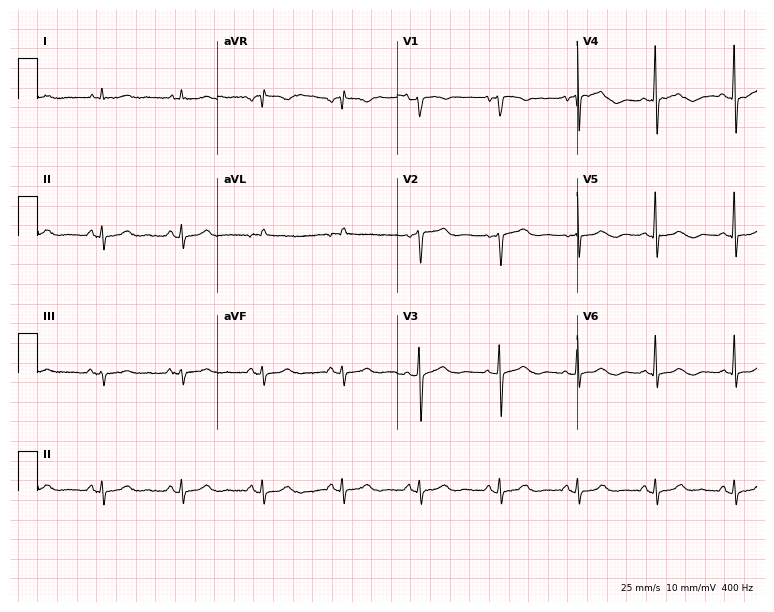
ECG (7.3-second recording at 400 Hz) — a female, 66 years old. Labelled as a normal ECG.